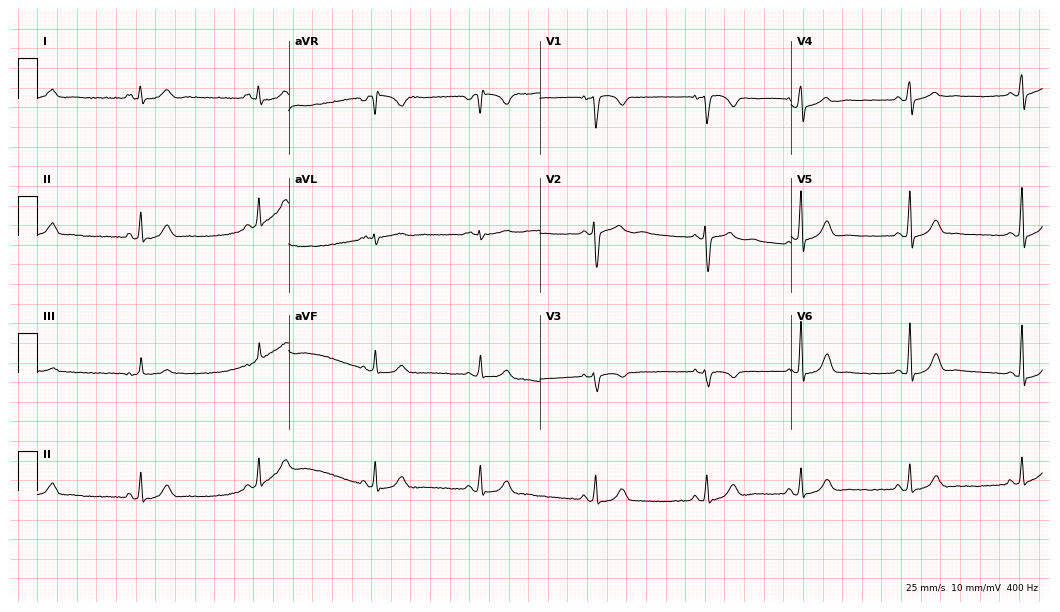
Electrocardiogram, a female patient, 22 years old. Of the six screened findings (first-degree AV block, right bundle branch block (RBBB), left bundle branch block (LBBB), sinus bradycardia, atrial fibrillation (AF), sinus tachycardia), none is recorded.